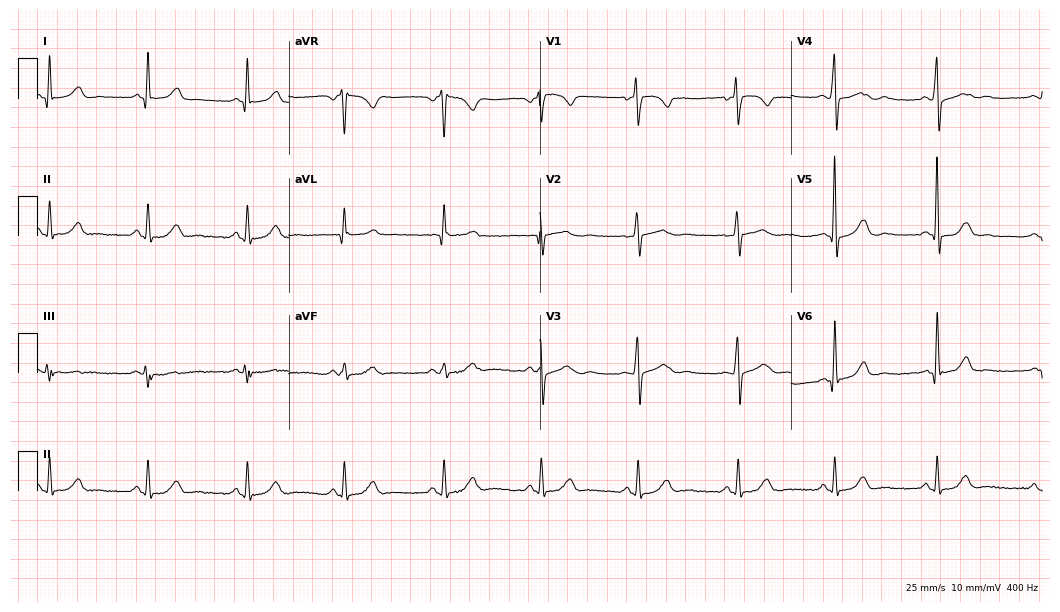
12-lead ECG from a woman, 50 years old (10.2-second recording at 400 Hz). Recorded interpretation: within normal limits.